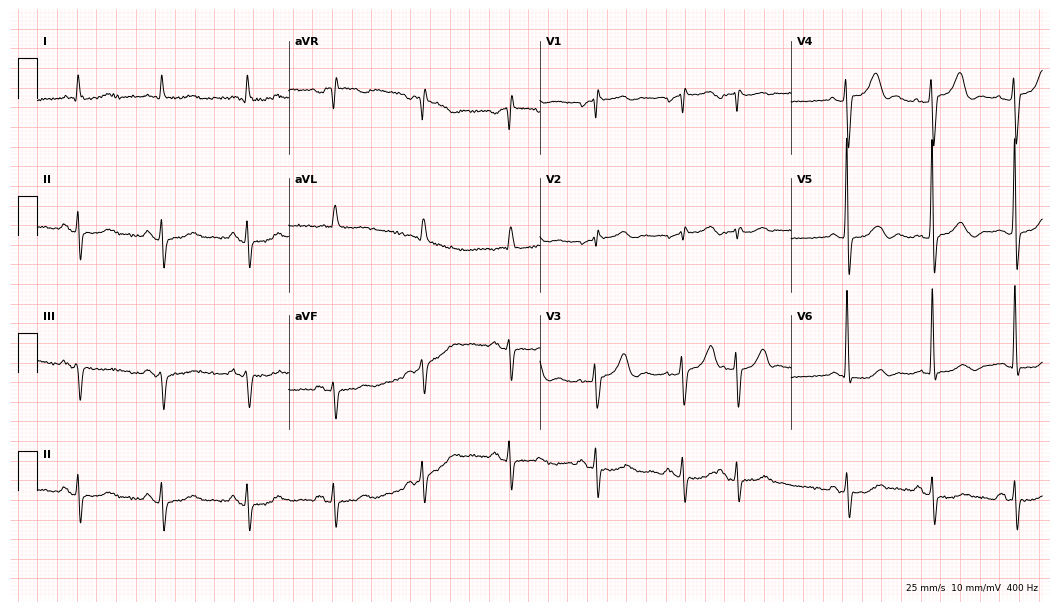
Electrocardiogram, a male patient, 83 years old. Of the six screened findings (first-degree AV block, right bundle branch block (RBBB), left bundle branch block (LBBB), sinus bradycardia, atrial fibrillation (AF), sinus tachycardia), none is recorded. Only these six findings were labelled.